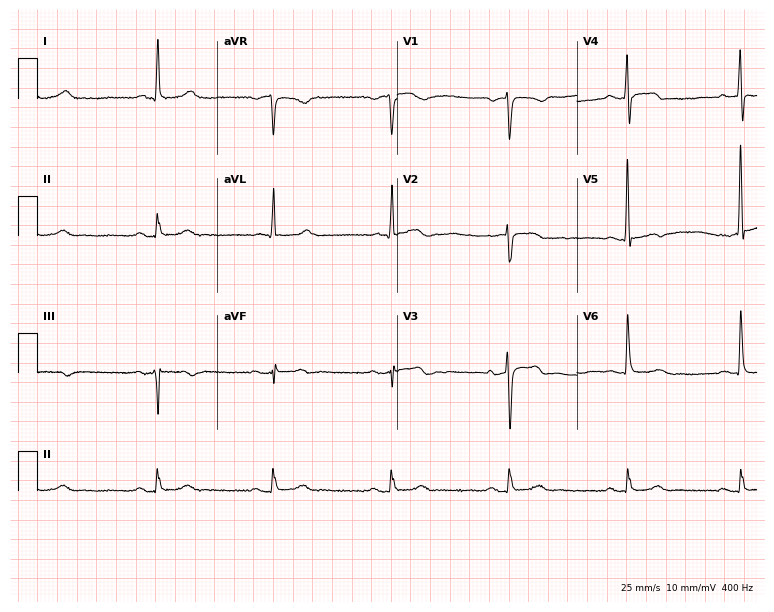
Resting 12-lead electrocardiogram (7.3-second recording at 400 Hz). Patient: a 79-year-old male. The tracing shows sinus bradycardia (a sinus rate of 50 beats per minute or less).